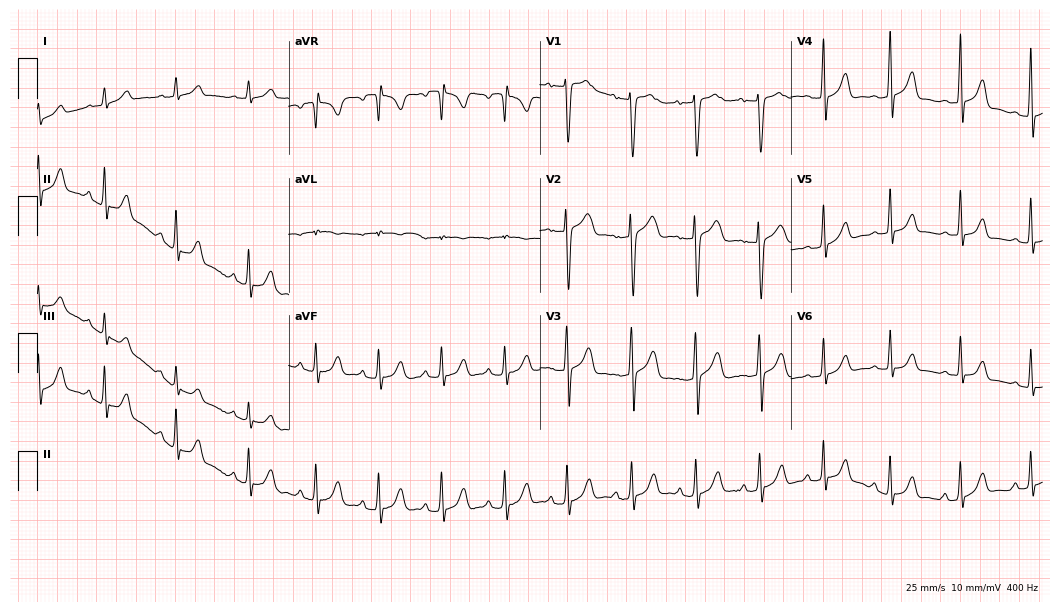
Standard 12-lead ECG recorded from a man, 17 years old (10.2-second recording at 400 Hz). None of these six findings is recorded: first-degree AV block, right bundle branch block, left bundle branch block, sinus bradycardia, atrial fibrillation, sinus tachycardia. Findings outside these six are not listed.